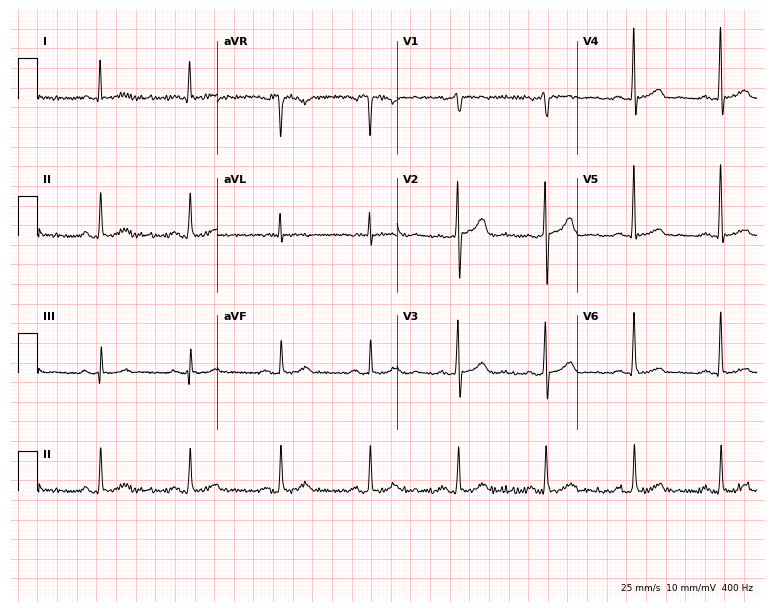
12-lead ECG from a male, 54 years old (7.3-second recording at 400 Hz). No first-degree AV block, right bundle branch block, left bundle branch block, sinus bradycardia, atrial fibrillation or sinus tachycardia recorded for this tracing.